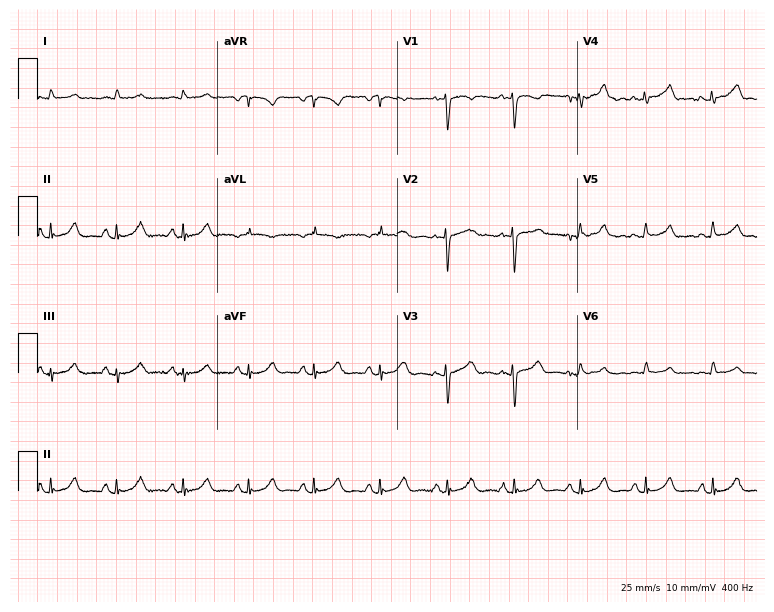
12-lead ECG (7.3-second recording at 400 Hz) from a 74-year-old male. Screened for six findings — first-degree AV block, right bundle branch block, left bundle branch block, sinus bradycardia, atrial fibrillation, sinus tachycardia — none is recorded.